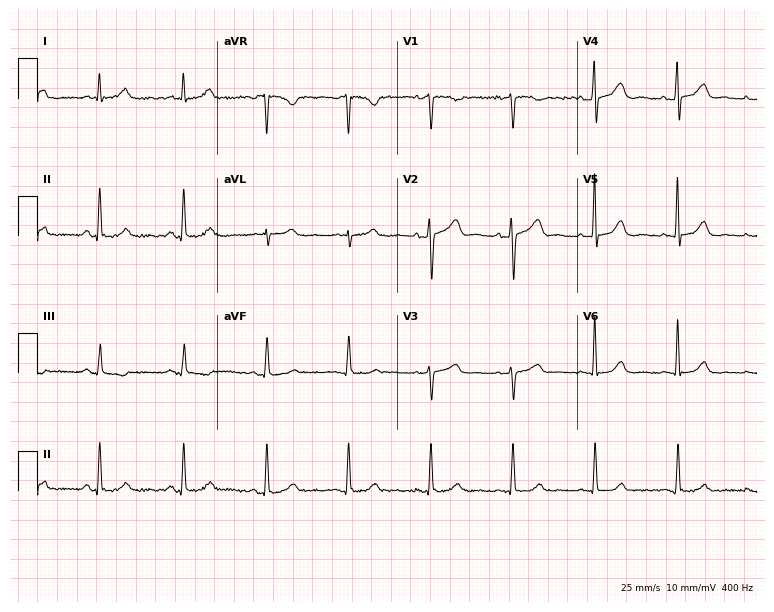
Electrocardiogram, a female, 72 years old. Overall reading on record: normal ECG.